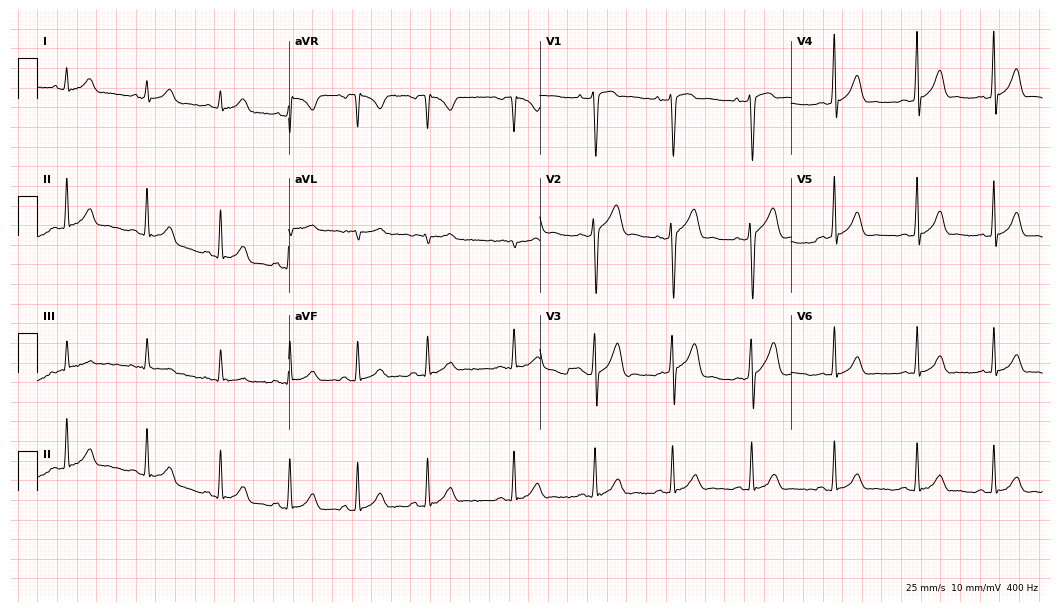
Electrocardiogram (10.2-second recording at 400 Hz), a 28-year-old male patient. Overall reading on record: normal ECG.